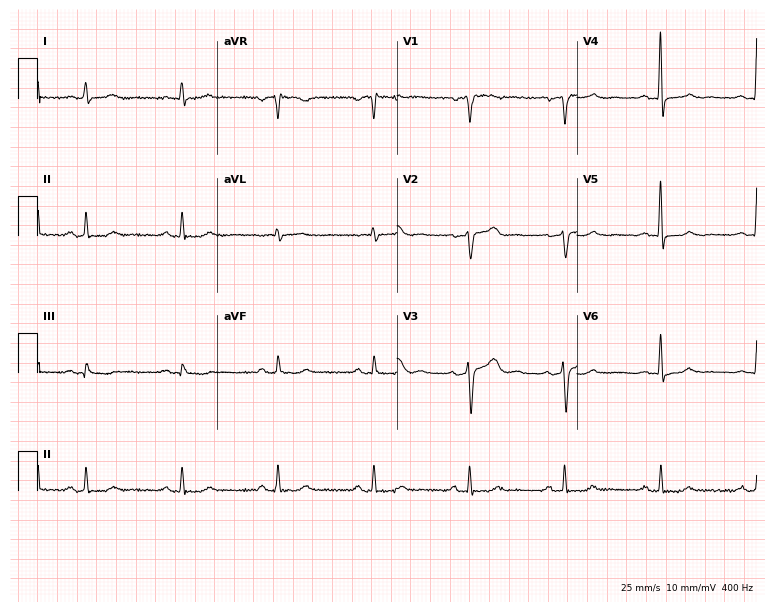
12-lead ECG from a male, 60 years old. Recorded interpretation: within normal limits.